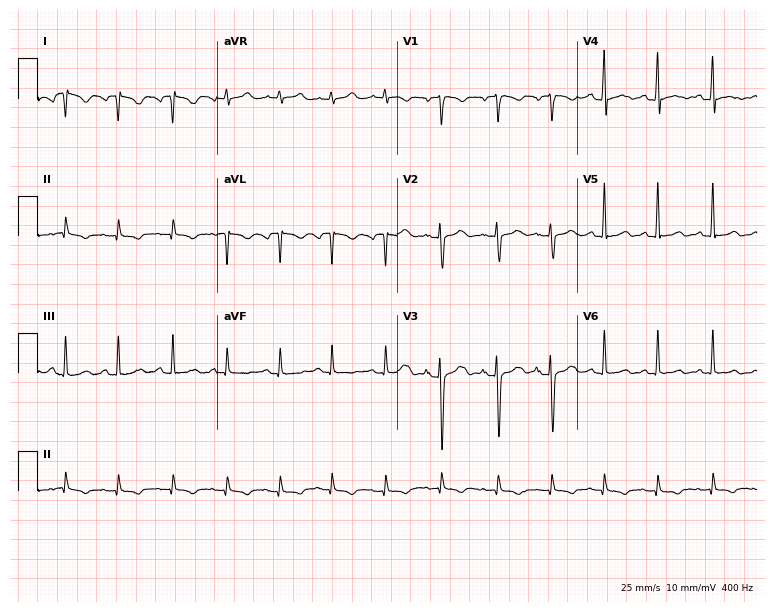
Standard 12-lead ECG recorded from a woman, 18 years old. None of these six findings is recorded: first-degree AV block, right bundle branch block, left bundle branch block, sinus bradycardia, atrial fibrillation, sinus tachycardia.